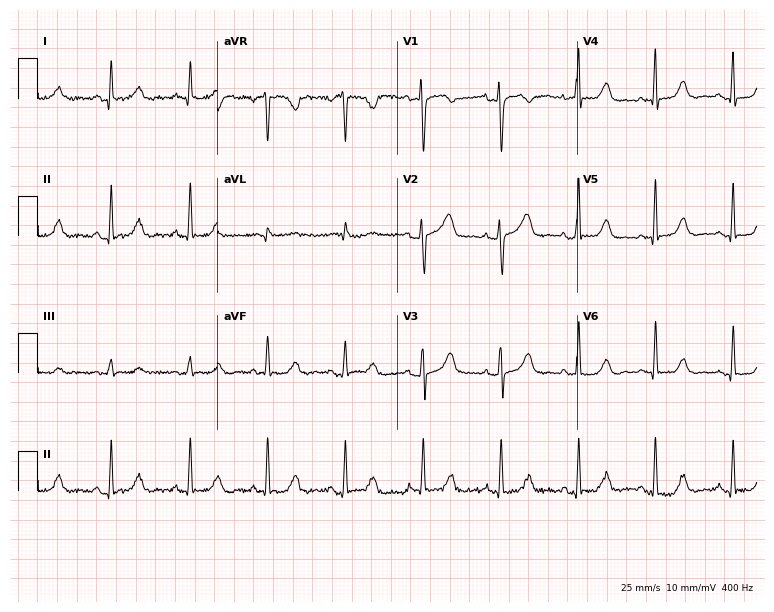
ECG — a woman, 59 years old. Labelled as a normal ECG.